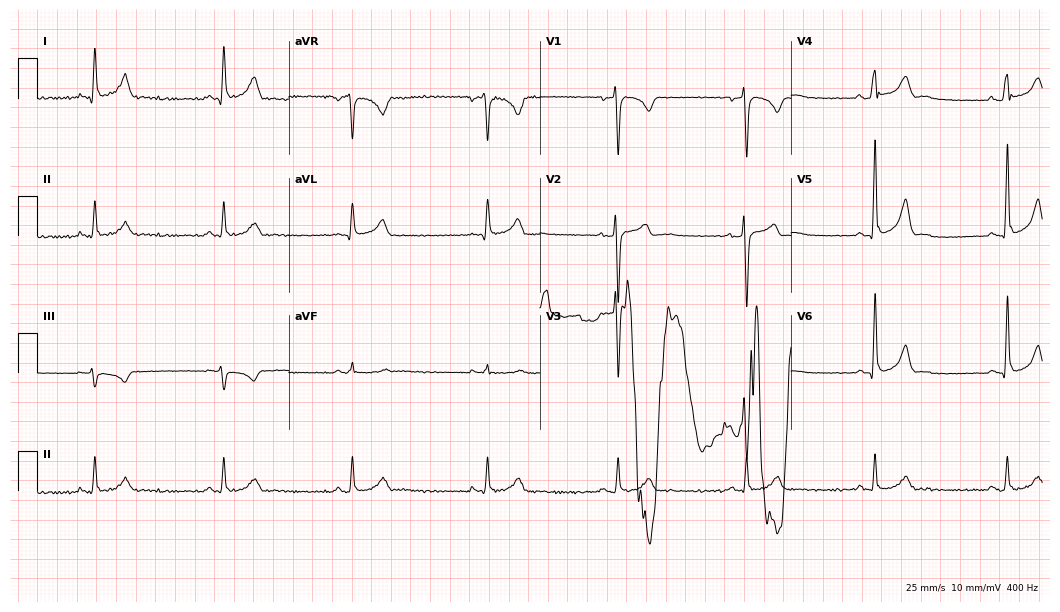
Standard 12-lead ECG recorded from a male, 39 years old. The tracing shows sinus bradycardia (a sinus rate of 50 beats per minute or less).